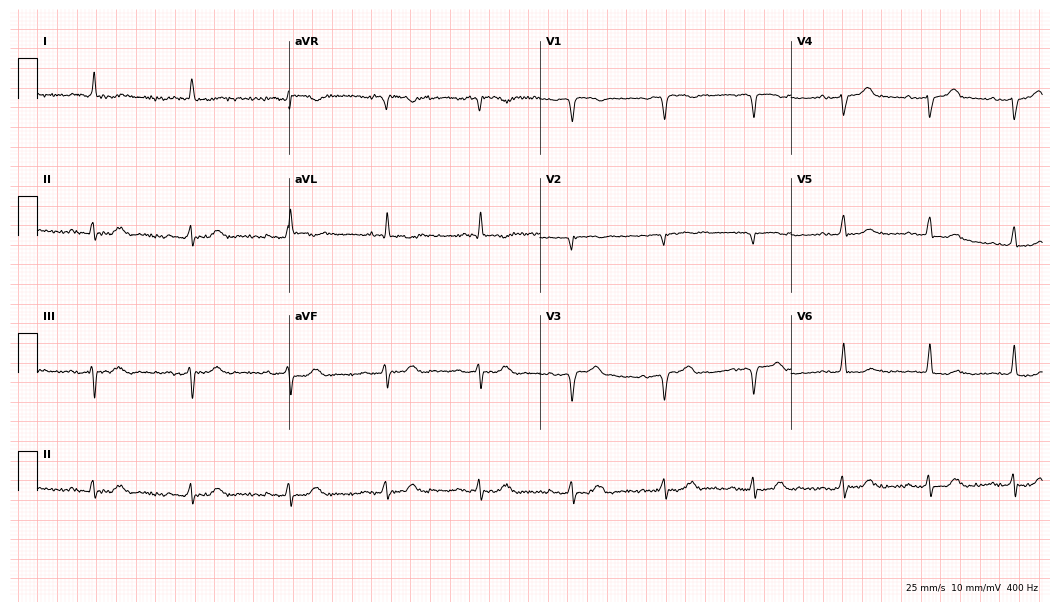
12-lead ECG from a male, 83 years old. Screened for six findings — first-degree AV block, right bundle branch block (RBBB), left bundle branch block (LBBB), sinus bradycardia, atrial fibrillation (AF), sinus tachycardia — none is recorded.